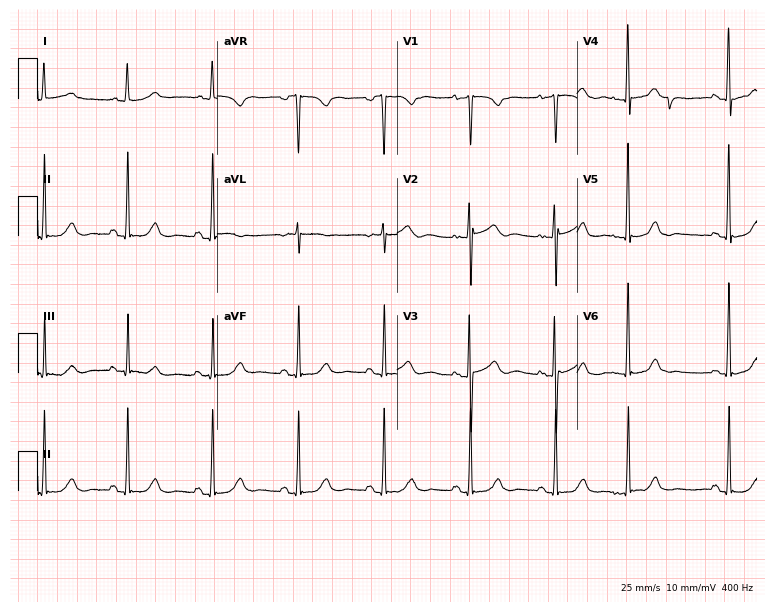
12-lead ECG from a female, 84 years old. Labelled as a normal ECG.